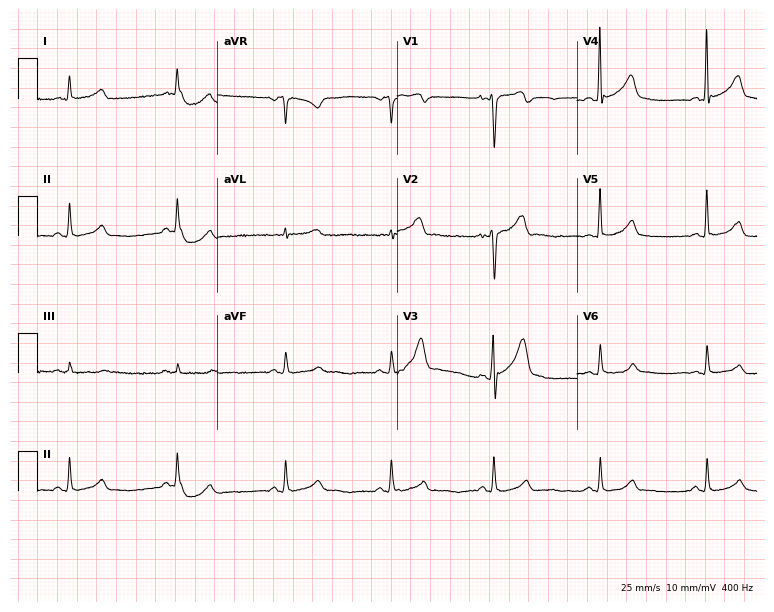
ECG — a male, 52 years old. Screened for six findings — first-degree AV block, right bundle branch block (RBBB), left bundle branch block (LBBB), sinus bradycardia, atrial fibrillation (AF), sinus tachycardia — none is recorded.